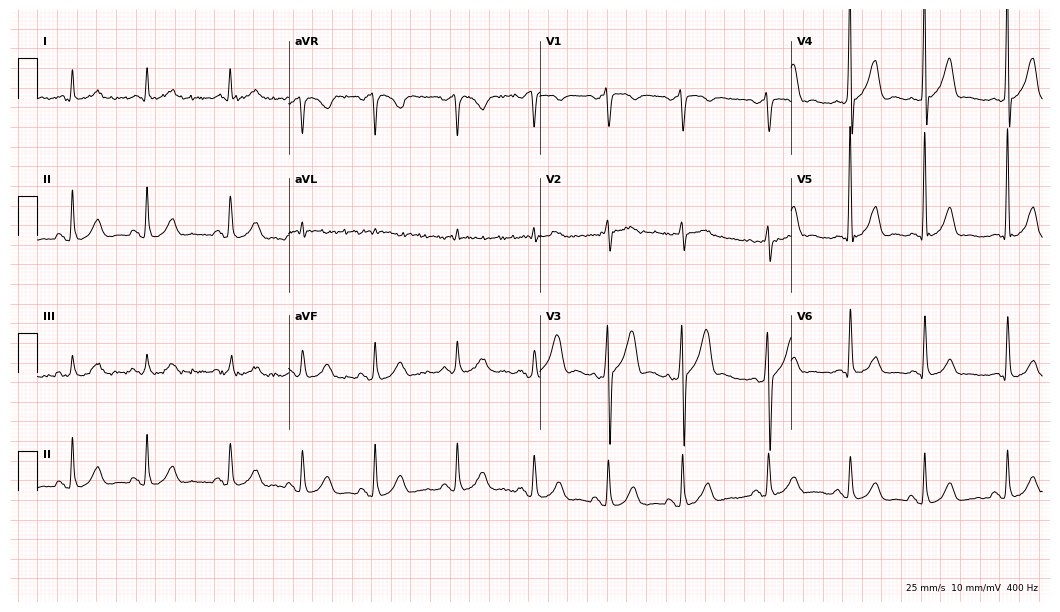
Electrocardiogram, a 67-year-old man. Overall reading on record: normal ECG.